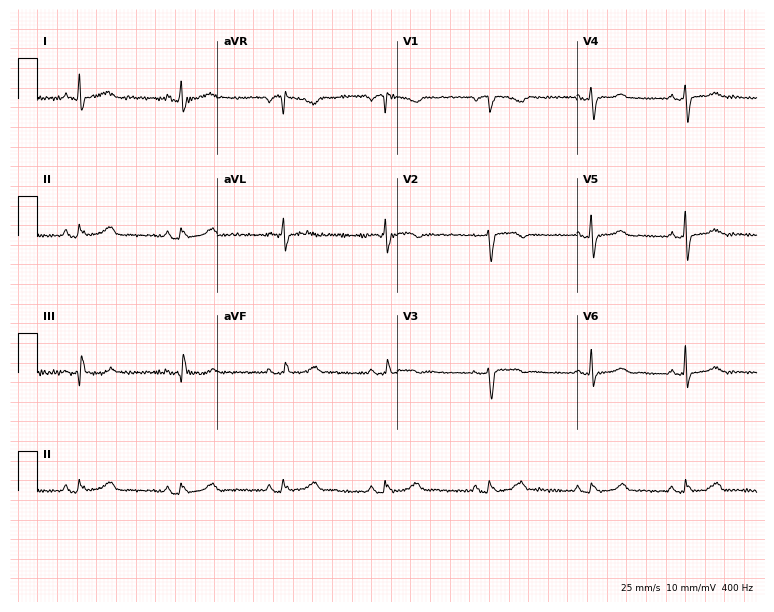
12-lead ECG from a female, 58 years old (7.3-second recording at 400 Hz). Recorded interpretation: within normal limits.